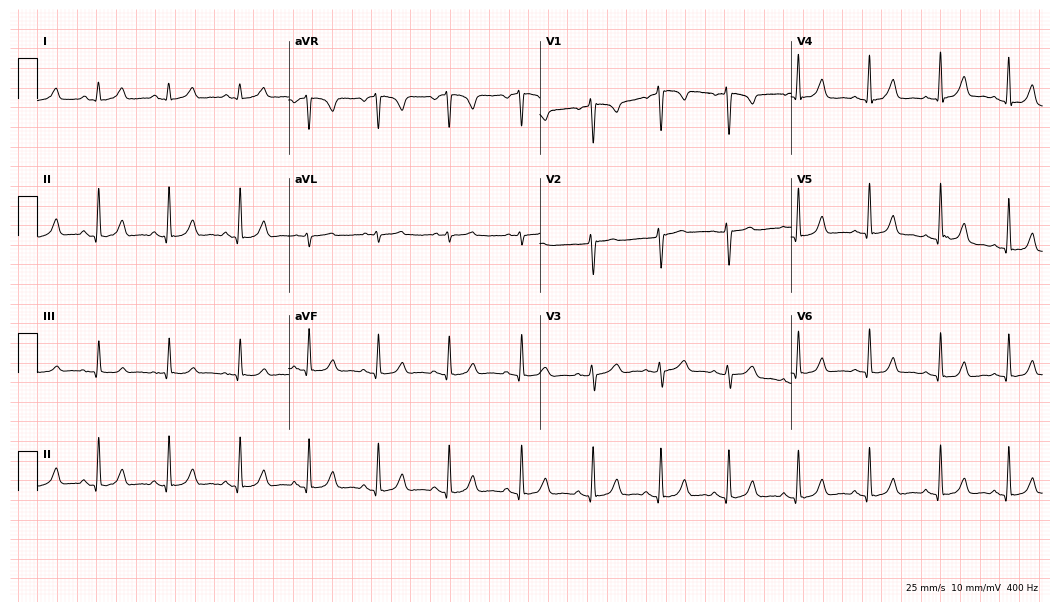
12-lead ECG from a 44-year-old woman (10.2-second recording at 400 Hz). Recorded interpretation: within normal limits.